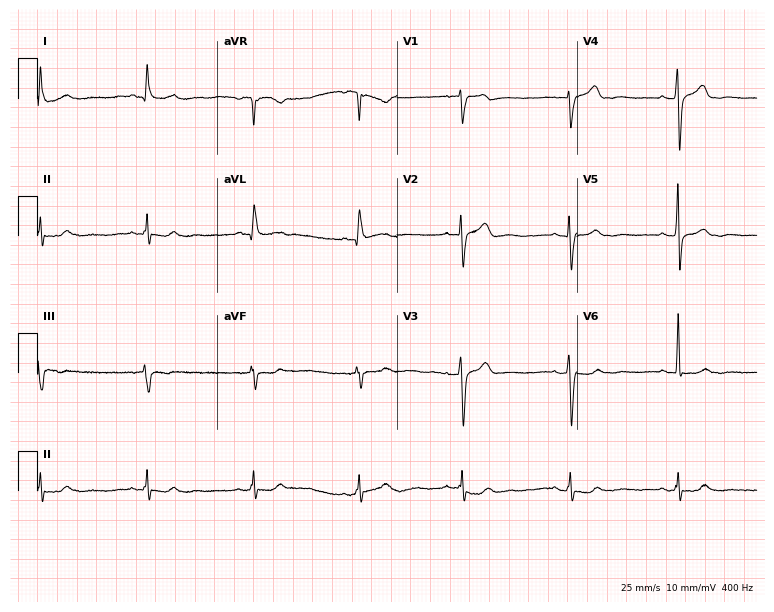
12-lead ECG from a male, 84 years old (7.3-second recording at 400 Hz). Recorded interpretation: within normal limits.